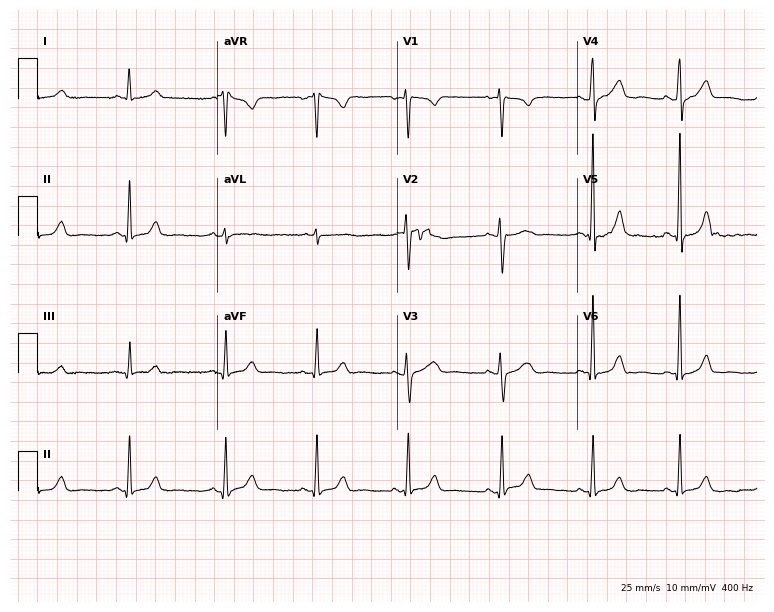
Electrocardiogram, a woman, 40 years old. Overall reading on record: normal ECG.